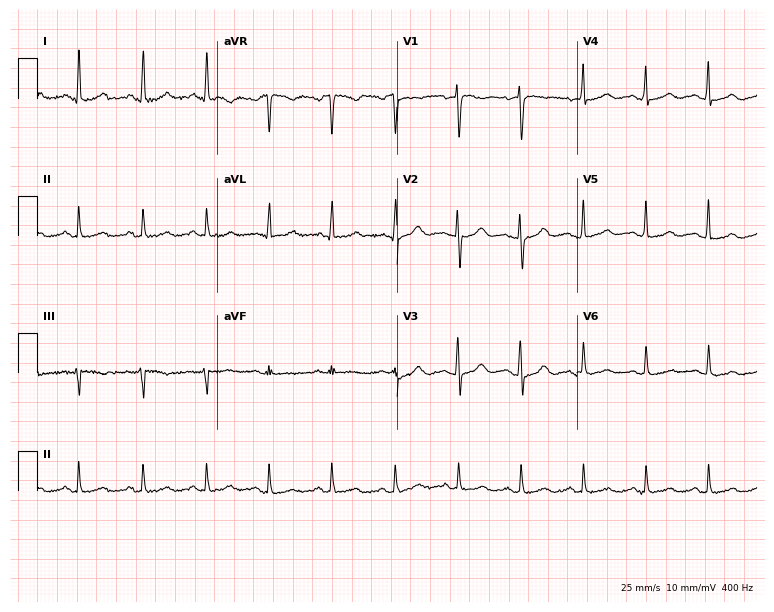
ECG — a 34-year-old woman. Labelled as a normal ECG.